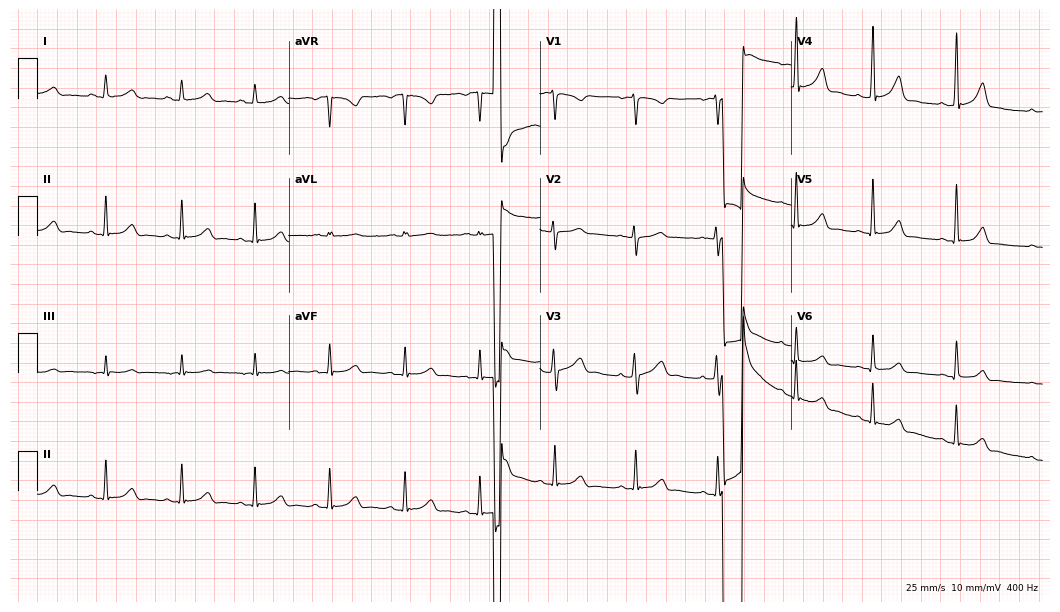
12-lead ECG (10.2-second recording at 400 Hz) from a 23-year-old woman. Screened for six findings — first-degree AV block, right bundle branch block, left bundle branch block, sinus bradycardia, atrial fibrillation, sinus tachycardia — none is recorded.